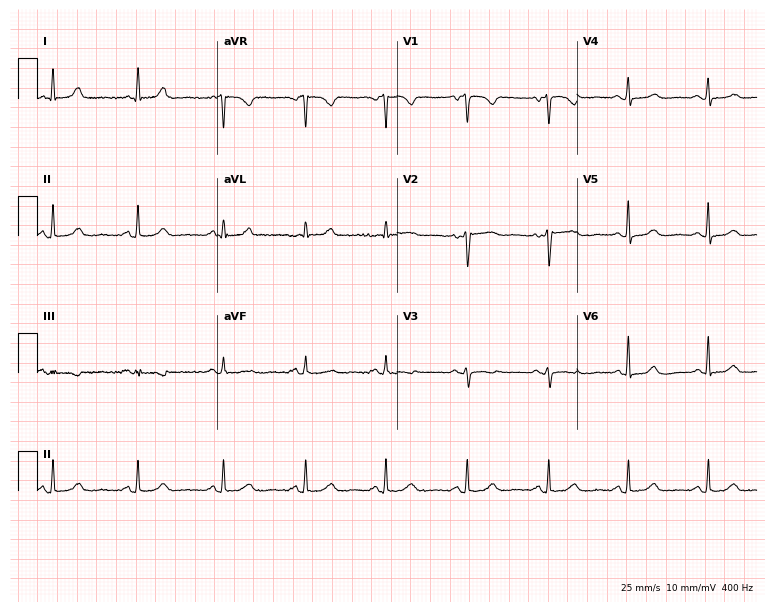
12-lead ECG from a woman, 66 years old (7.3-second recording at 400 Hz). Recorded interpretation: within normal limits.